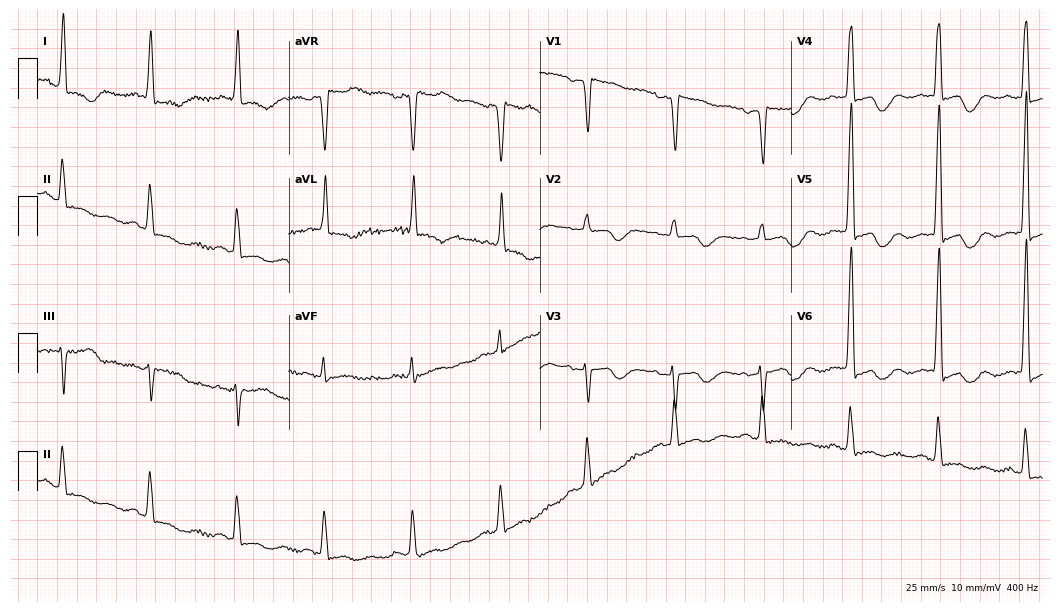
Standard 12-lead ECG recorded from a woman, 82 years old. None of these six findings is recorded: first-degree AV block, right bundle branch block, left bundle branch block, sinus bradycardia, atrial fibrillation, sinus tachycardia. Only these six findings were labelled.